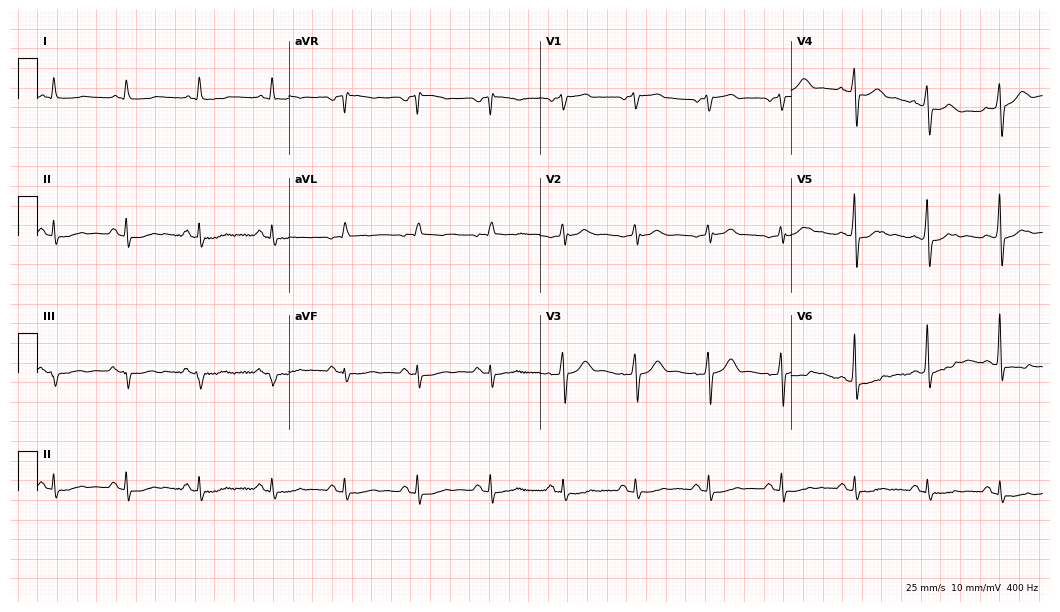
12-lead ECG from a 61-year-old male patient. No first-degree AV block, right bundle branch block, left bundle branch block, sinus bradycardia, atrial fibrillation or sinus tachycardia recorded for this tracing.